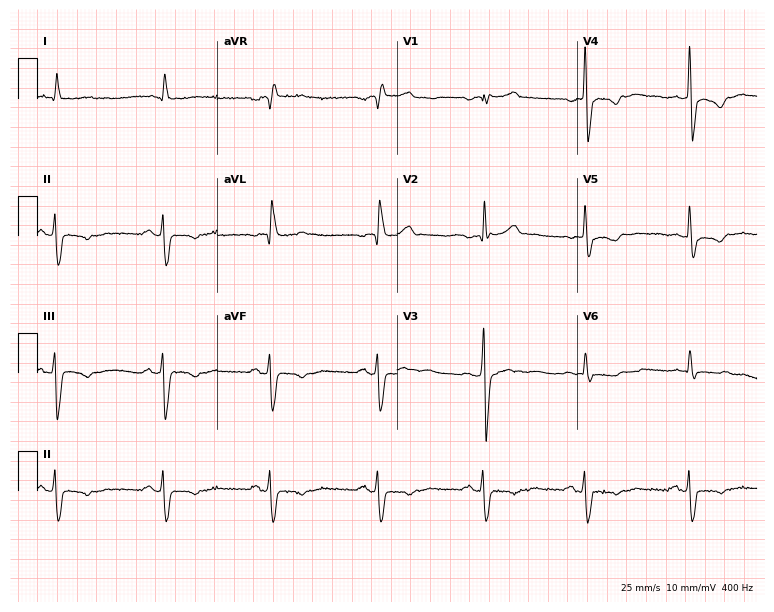
Resting 12-lead electrocardiogram. Patient: a 73-year-old male. The tracing shows right bundle branch block (RBBB).